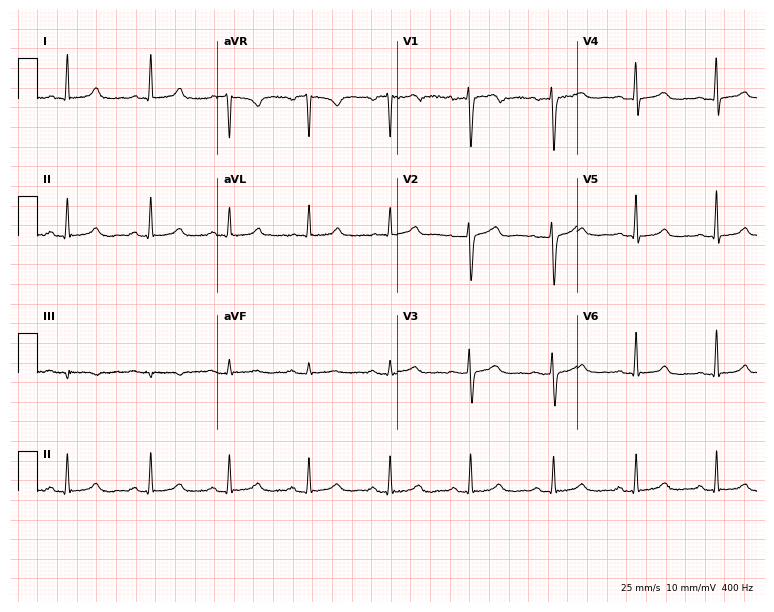
12-lead ECG from a female, 45 years old. No first-degree AV block, right bundle branch block (RBBB), left bundle branch block (LBBB), sinus bradycardia, atrial fibrillation (AF) or sinus tachycardia recorded for this tracing.